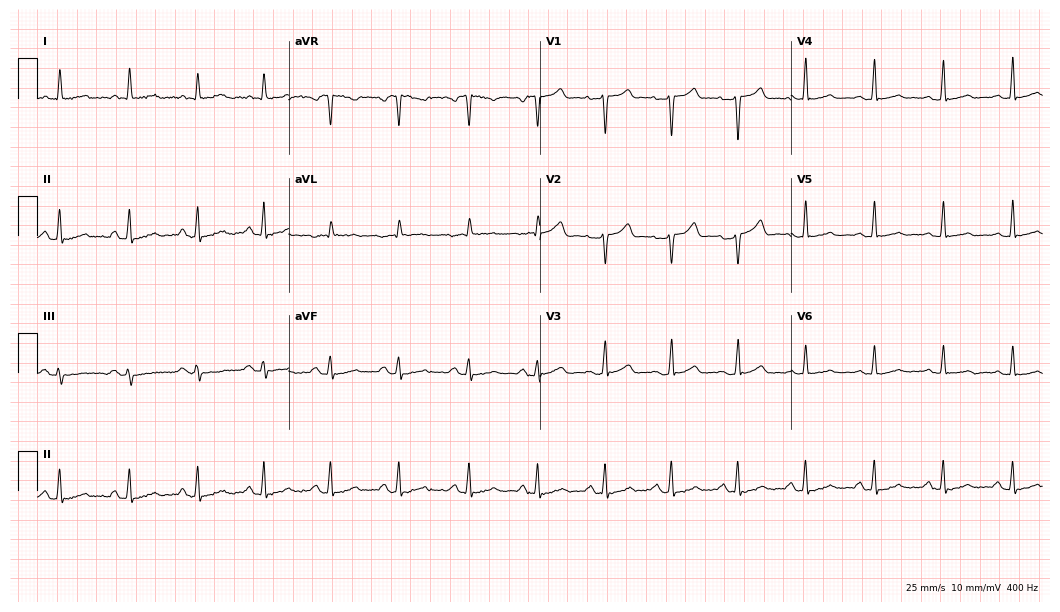
Electrocardiogram (10.2-second recording at 400 Hz), a 47-year-old female. Of the six screened findings (first-degree AV block, right bundle branch block, left bundle branch block, sinus bradycardia, atrial fibrillation, sinus tachycardia), none is recorded. Only these six findings were labelled.